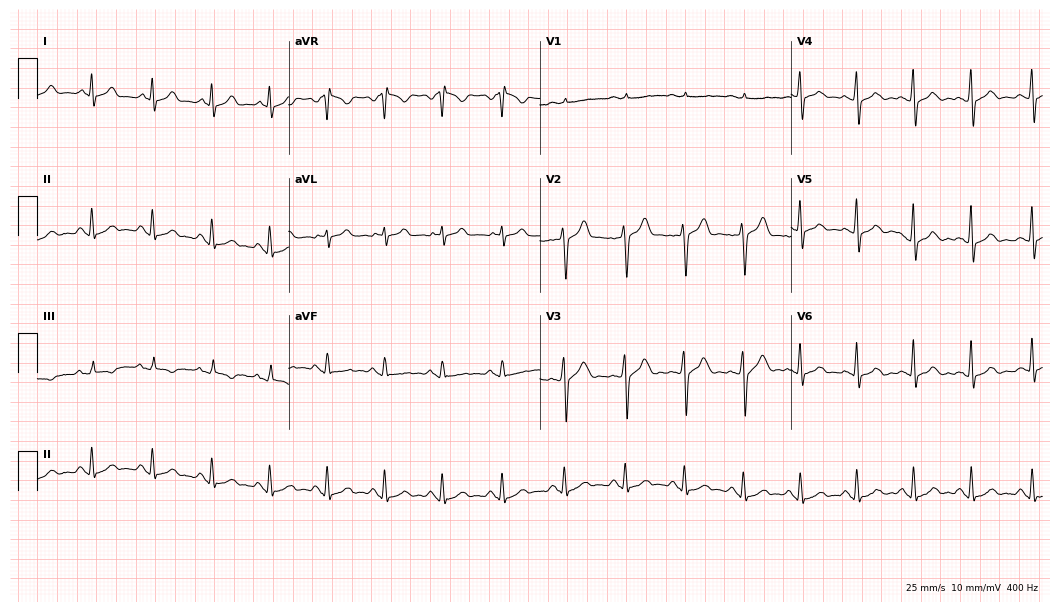
ECG (10.2-second recording at 400 Hz) — a male patient, 34 years old. Labelled as a normal ECG.